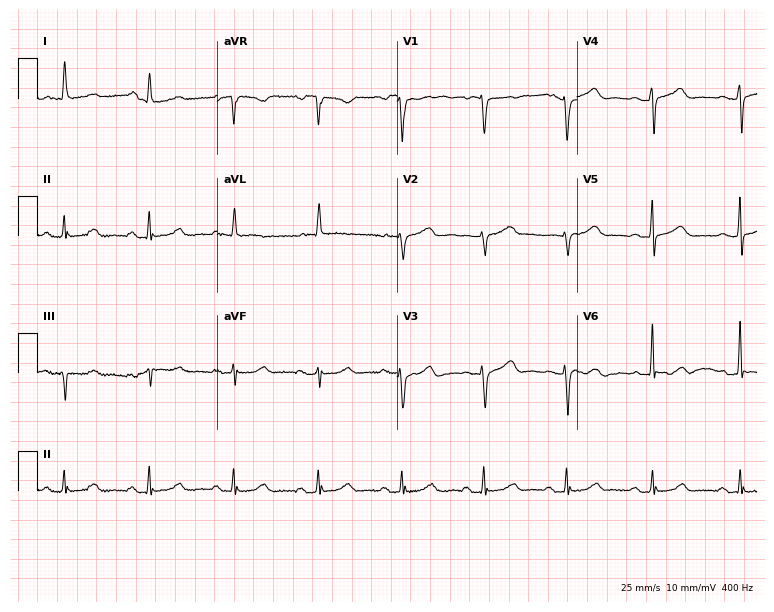
Resting 12-lead electrocardiogram (7.3-second recording at 400 Hz). Patient: a female, 73 years old. Read as a normal ECG.